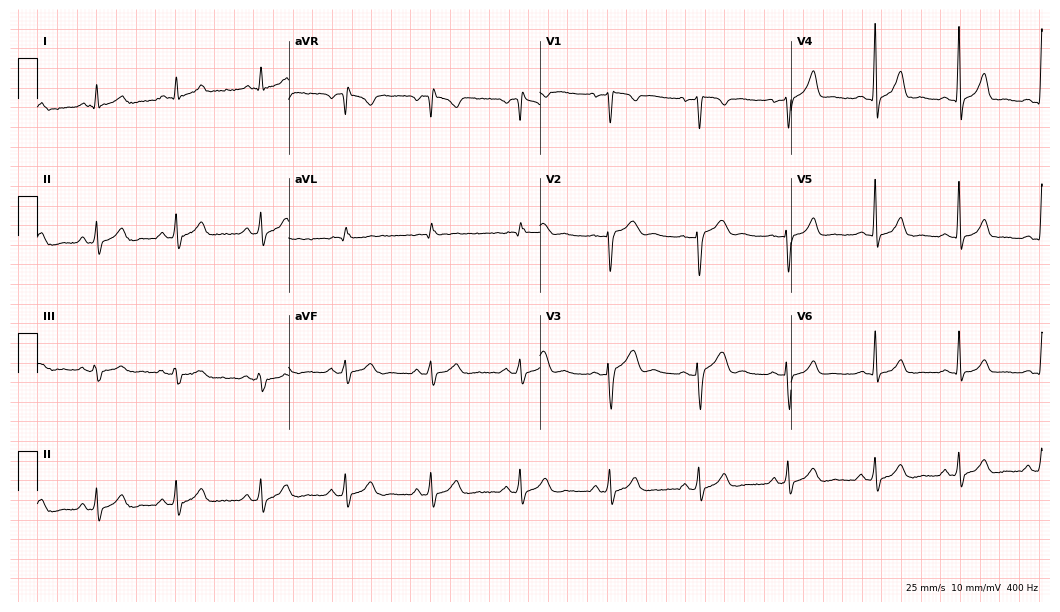
Electrocardiogram (10.2-second recording at 400 Hz), a male patient, 26 years old. Of the six screened findings (first-degree AV block, right bundle branch block (RBBB), left bundle branch block (LBBB), sinus bradycardia, atrial fibrillation (AF), sinus tachycardia), none is recorded.